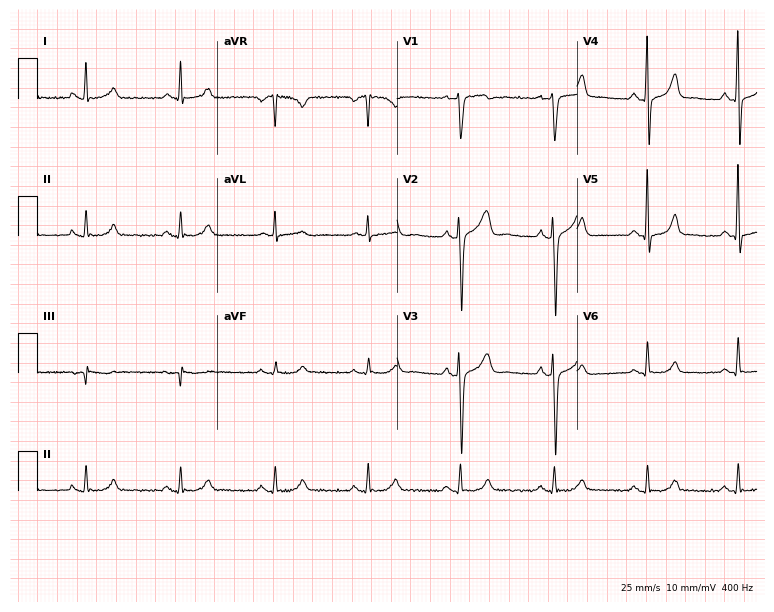
ECG — a 61-year-old male patient. Screened for six findings — first-degree AV block, right bundle branch block, left bundle branch block, sinus bradycardia, atrial fibrillation, sinus tachycardia — none is recorded. Findings outside these six are not listed.